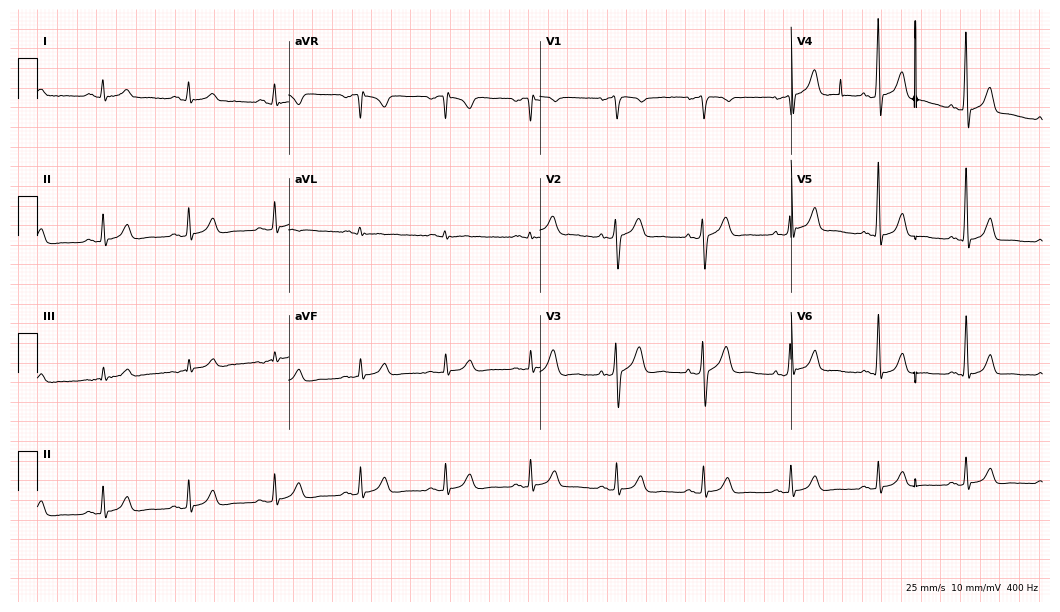
12-lead ECG from a male, 41 years old. Screened for six findings — first-degree AV block, right bundle branch block, left bundle branch block, sinus bradycardia, atrial fibrillation, sinus tachycardia — none is recorded.